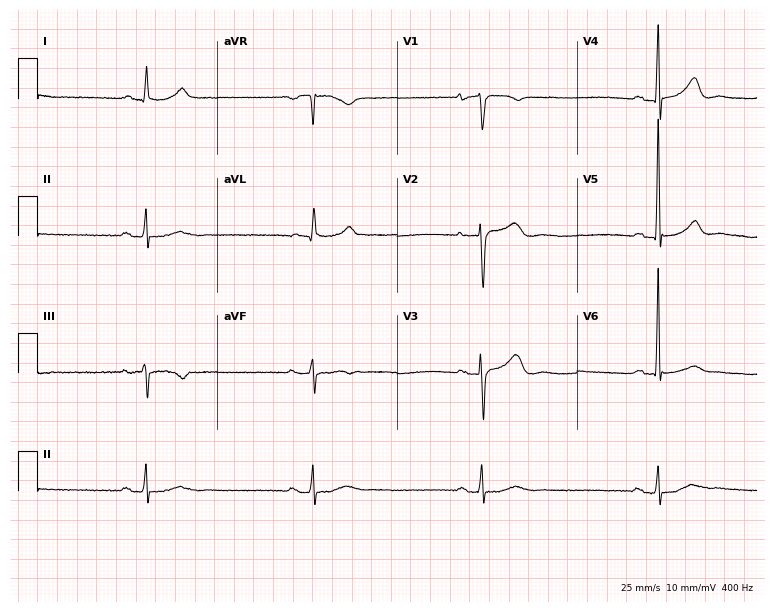
Electrocardiogram, a 78-year-old woman. Interpretation includes sinus bradycardia (a sinus rate of 50 beats per minute or less).